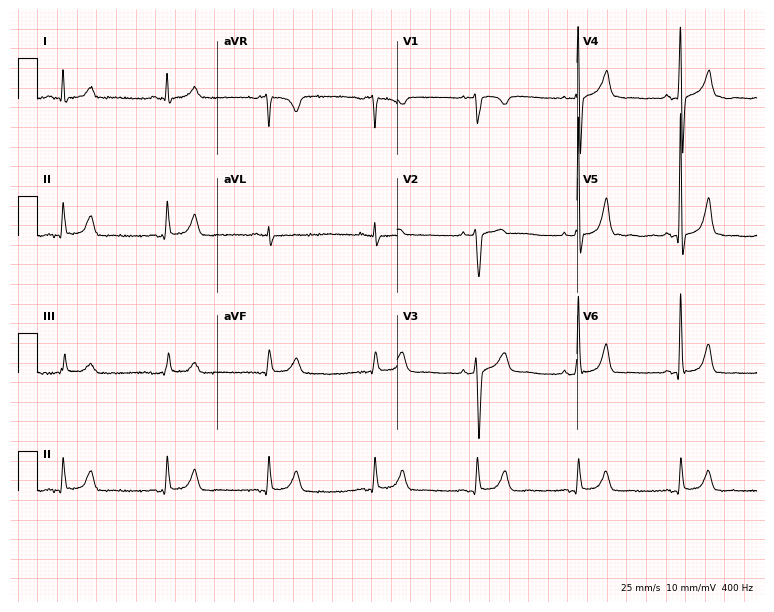
Electrocardiogram, a 77-year-old male. Overall reading on record: normal ECG.